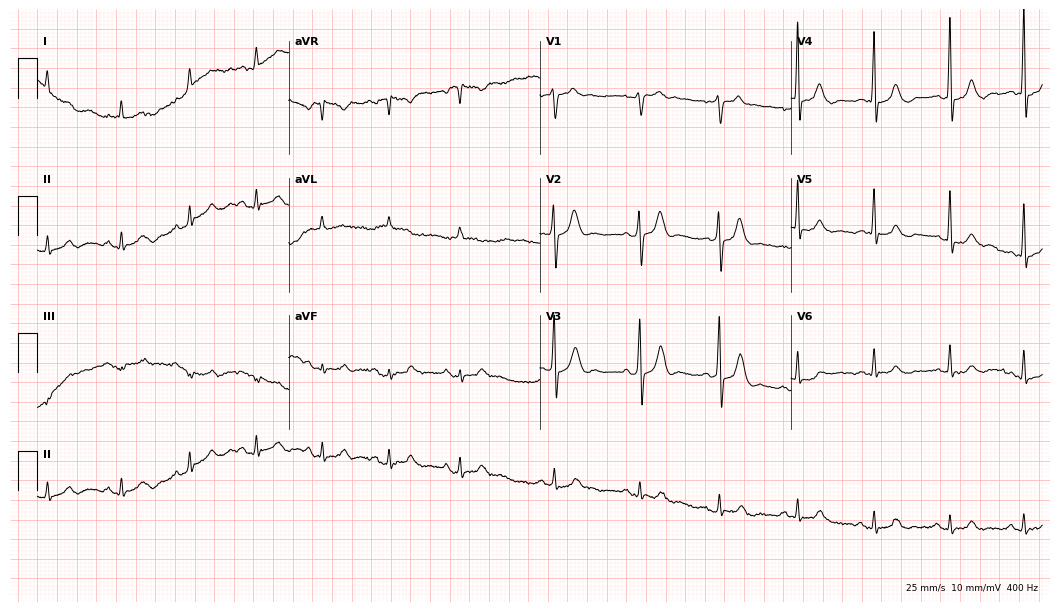
ECG (10.2-second recording at 400 Hz) — a male patient, 59 years old. Labelled as a normal ECG.